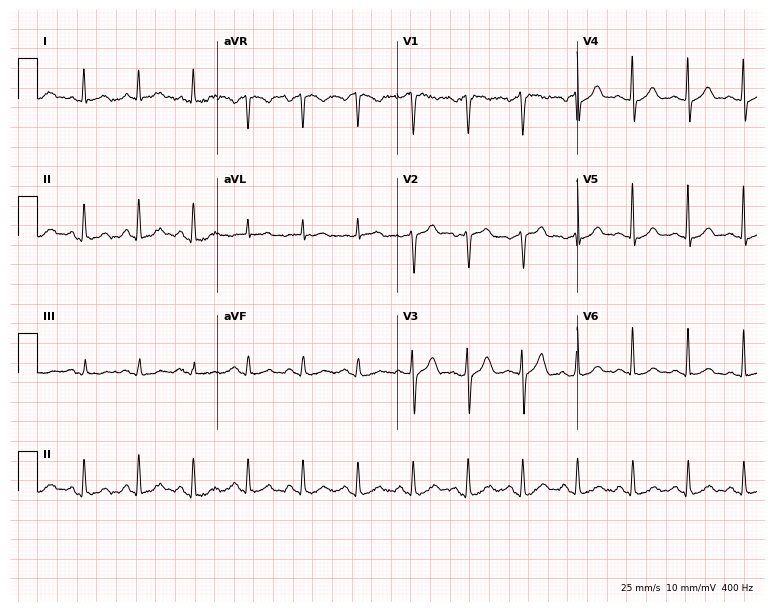
Standard 12-lead ECG recorded from a 65-year-old male patient. The tracing shows sinus tachycardia (a sinus rate of 100 beats per minute or more).